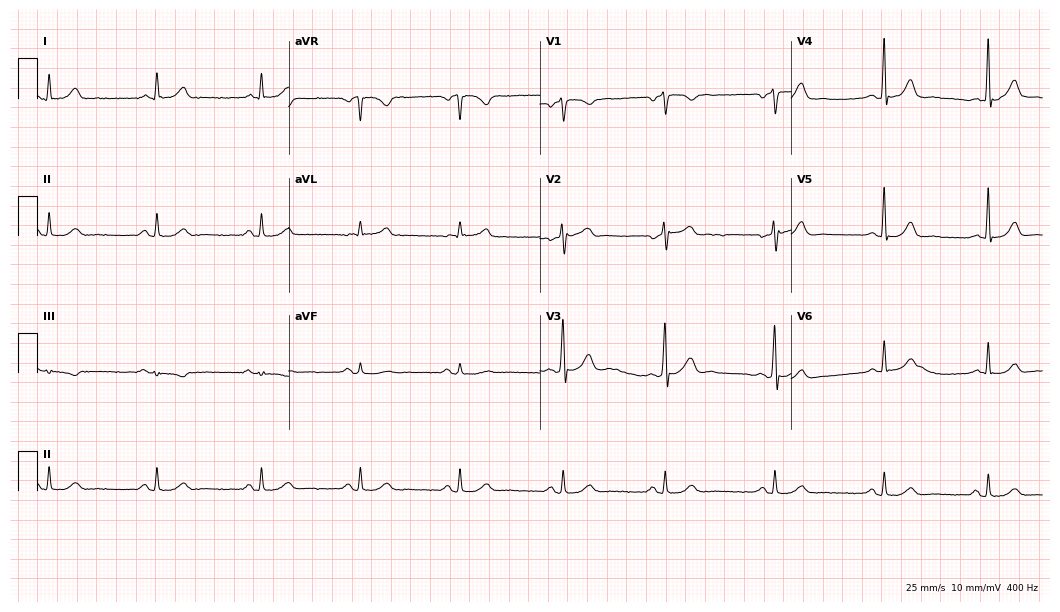
12-lead ECG from a man, 49 years old (10.2-second recording at 400 Hz). Recorded interpretation: within normal limits.